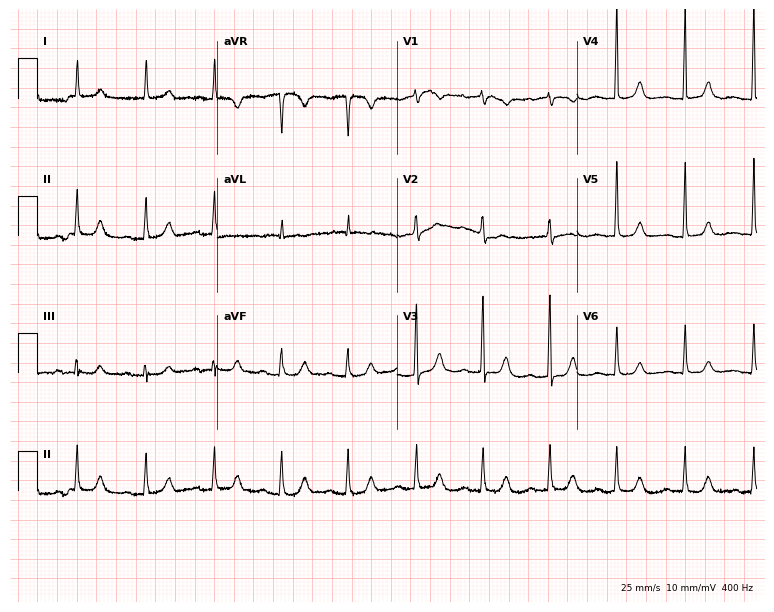
Resting 12-lead electrocardiogram. Patient: an 83-year-old female. Read as a normal ECG.